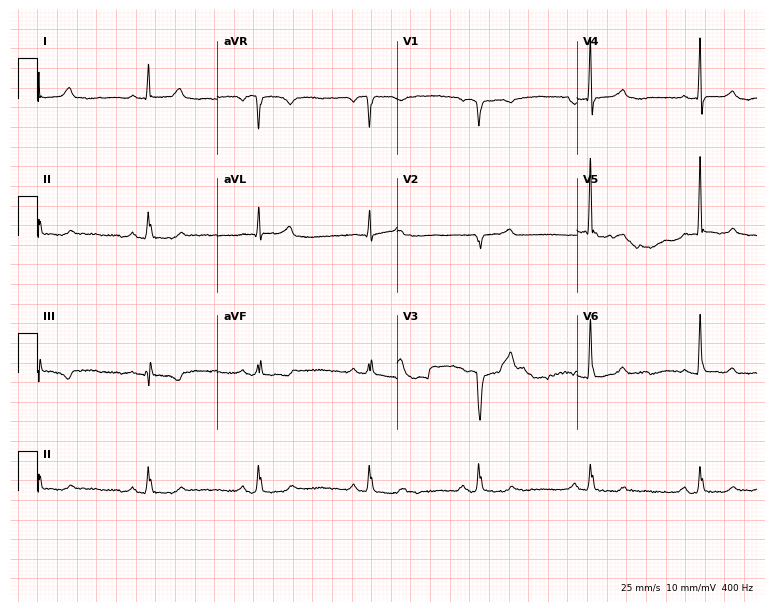
Standard 12-lead ECG recorded from an 85-year-old man. None of these six findings is recorded: first-degree AV block, right bundle branch block, left bundle branch block, sinus bradycardia, atrial fibrillation, sinus tachycardia.